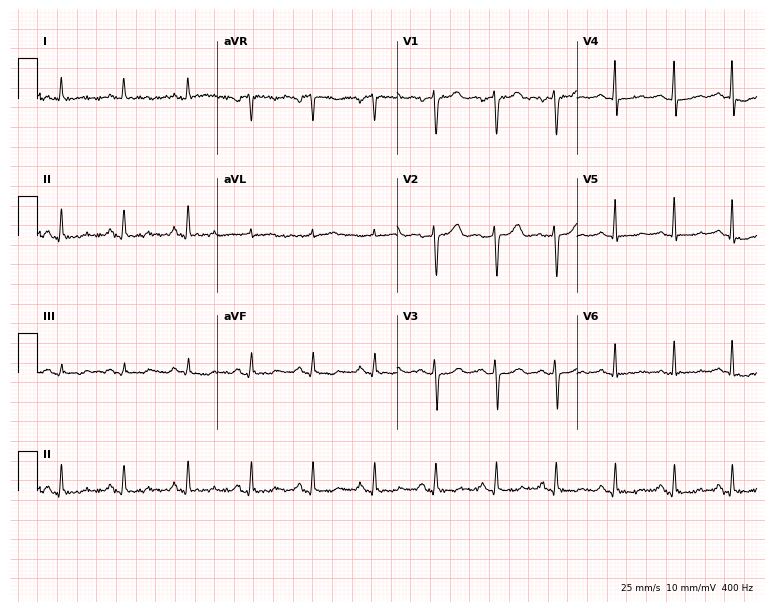
12-lead ECG from a female, 59 years old. No first-degree AV block, right bundle branch block, left bundle branch block, sinus bradycardia, atrial fibrillation or sinus tachycardia recorded for this tracing. Other findings, if any, are not listed.